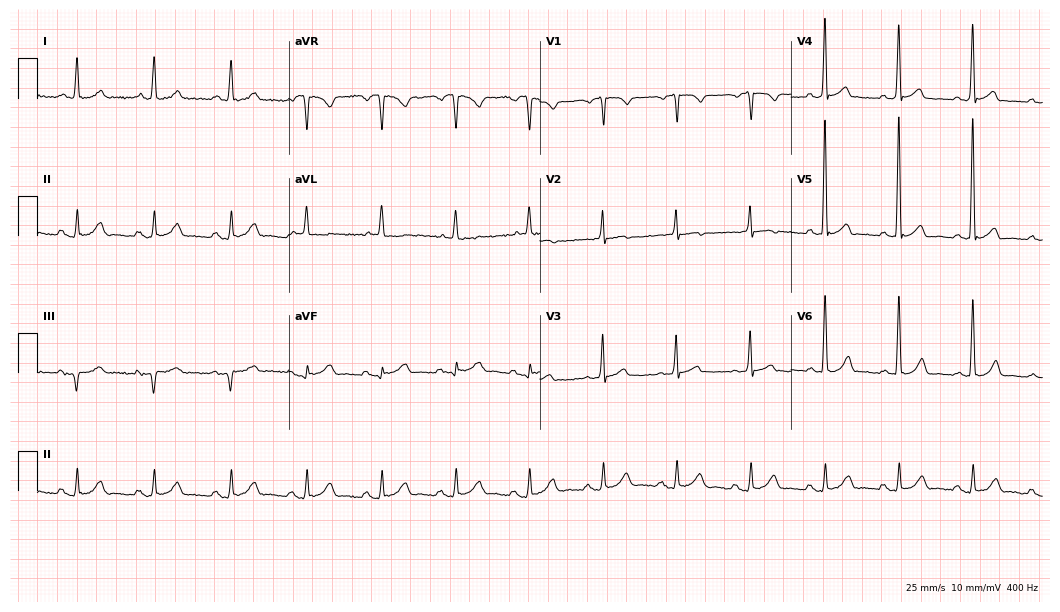
12-lead ECG from a man, 74 years old (10.2-second recording at 400 Hz). No first-degree AV block, right bundle branch block, left bundle branch block, sinus bradycardia, atrial fibrillation or sinus tachycardia recorded for this tracing.